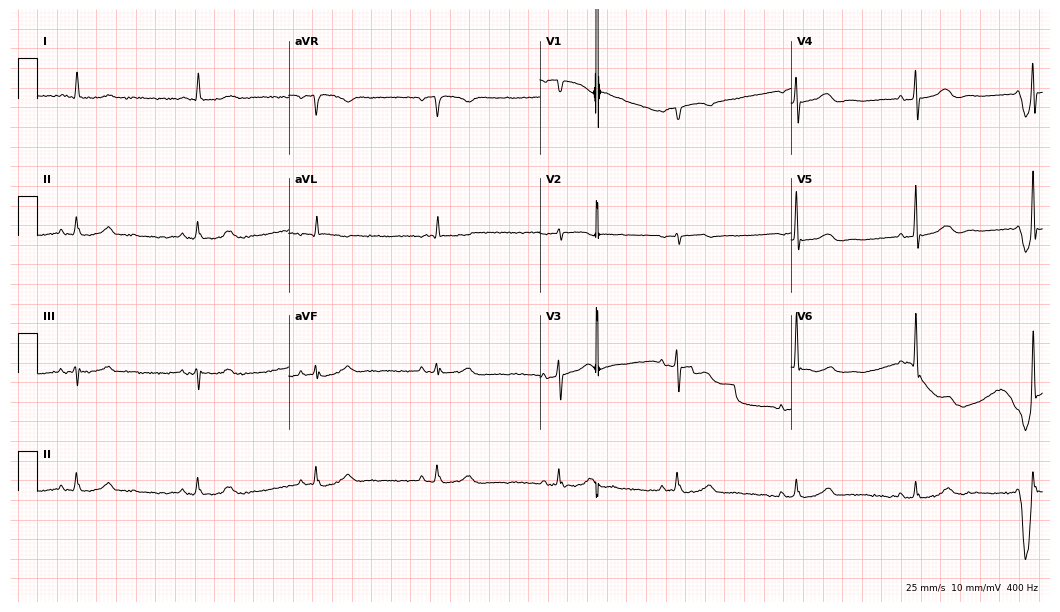
ECG — a female patient, 79 years old. Findings include sinus bradycardia (a sinus rate of 50 beats per minute or less).